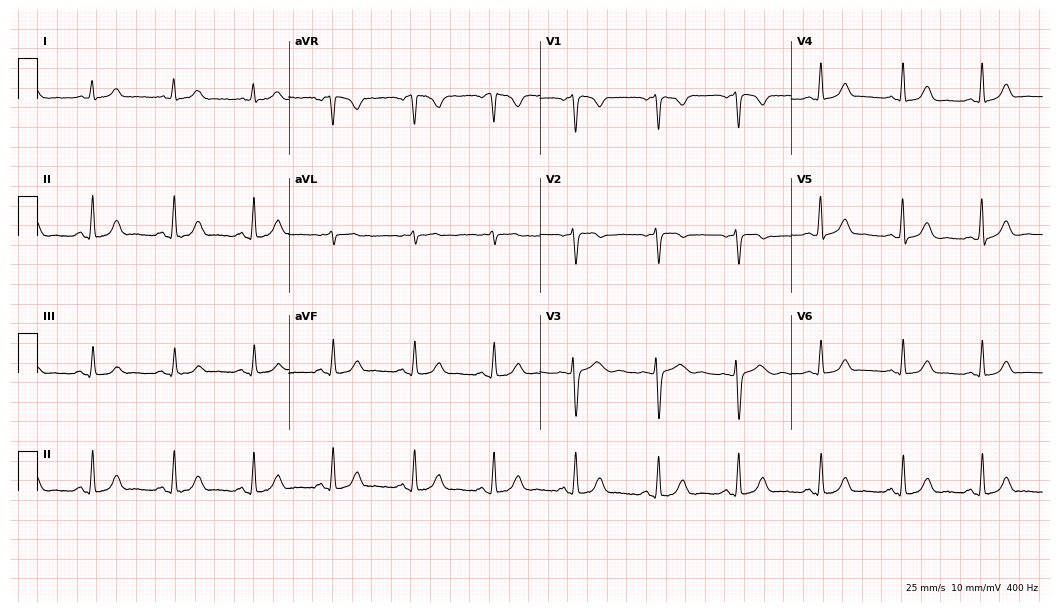
Resting 12-lead electrocardiogram. Patient: a 43-year-old woman. Read as a normal ECG.